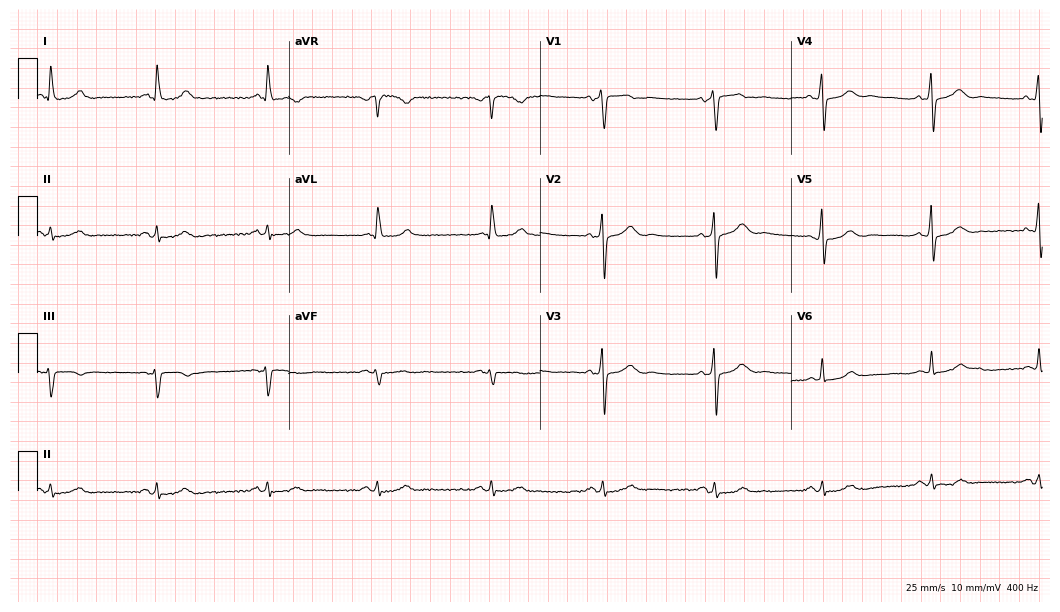
Electrocardiogram, a 76-year-old male. Of the six screened findings (first-degree AV block, right bundle branch block, left bundle branch block, sinus bradycardia, atrial fibrillation, sinus tachycardia), none is recorded. Only these six findings were labelled.